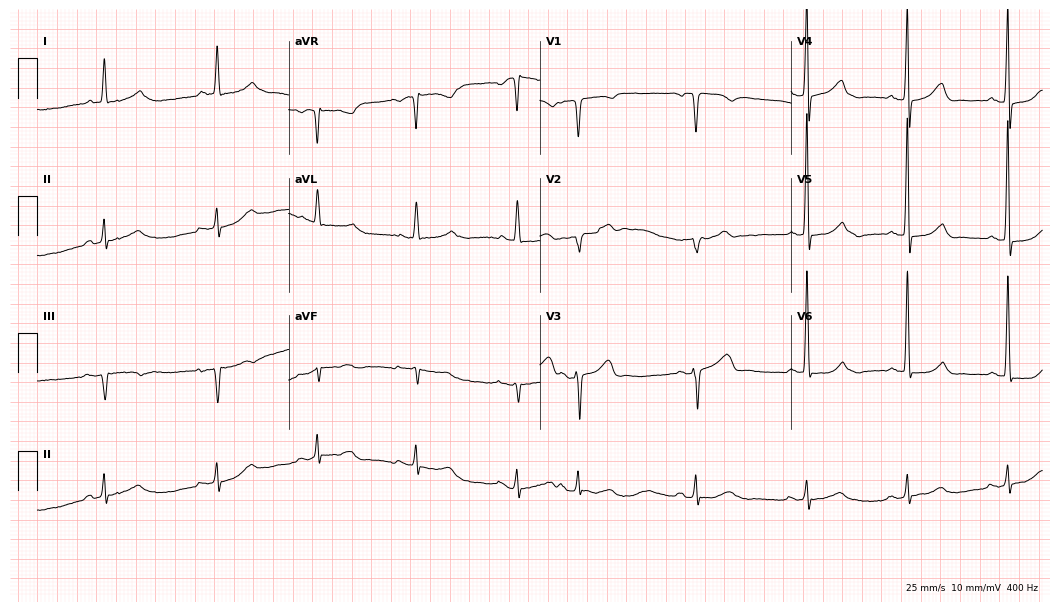
ECG (10.2-second recording at 400 Hz) — a 64-year-old man. Screened for six findings — first-degree AV block, right bundle branch block (RBBB), left bundle branch block (LBBB), sinus bradycardia, atrial fibrillation (AF), sinus tachycardia — none is recorded. Findings outside these six are not listed.